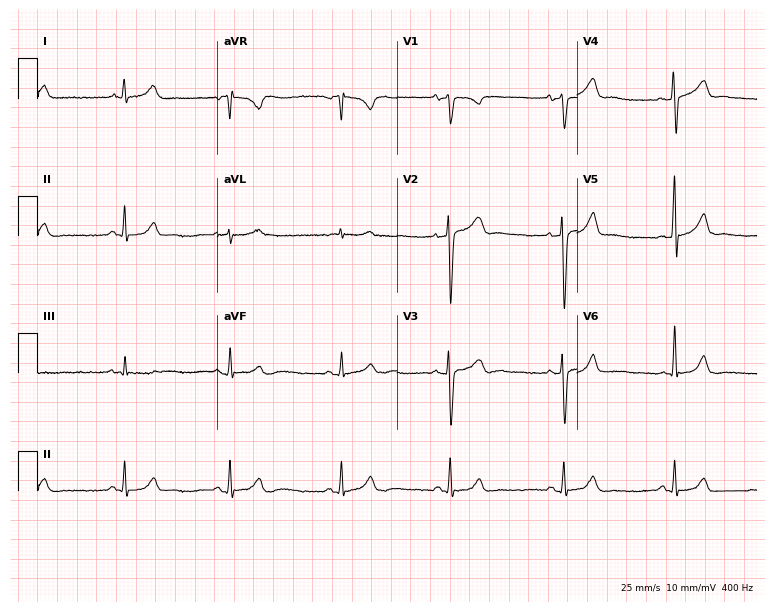
Standard 12-lead ECG recorded from a 55-year-old male patient (7.3-second recording at 400 Hz). None of these six findings is recorded: first-degree AV block, right bundle branch block (RBBB), left bundle branch block (LBBB), sinus bradycardia, atrial fibrillation (AF), sinus tachycardia.